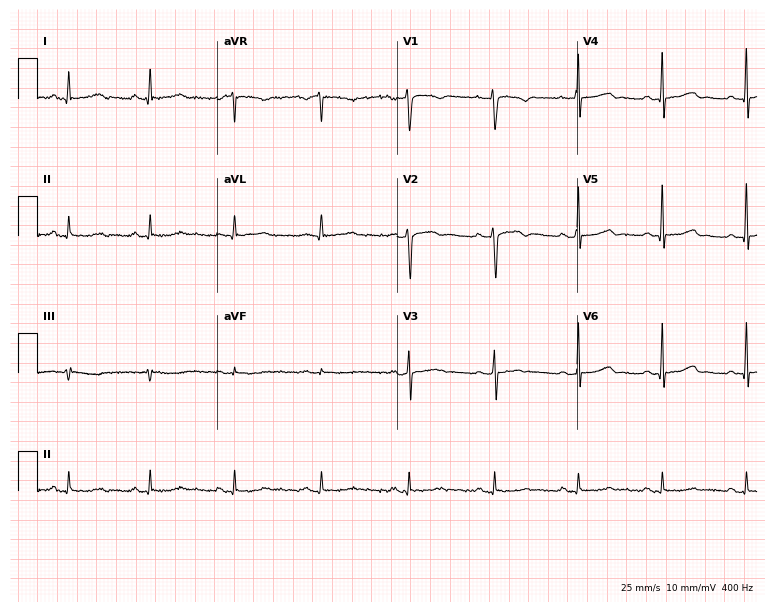
Resting 12-lead electrocardiogram. Patient: a woman, 52 years old. Read as a normal ECG.